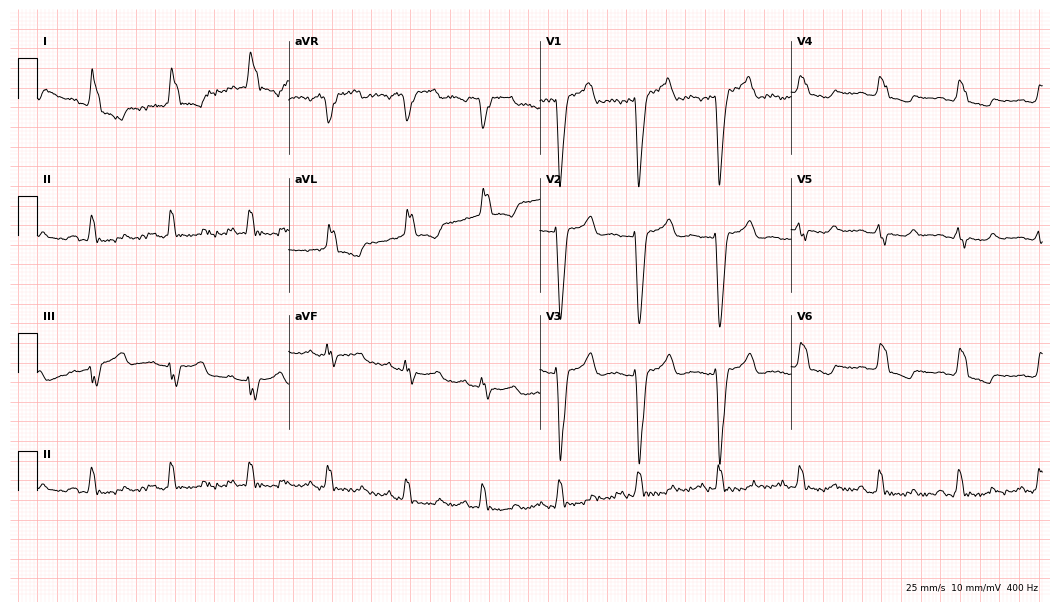
Resting 12-lead electrocardiogram. Patient: a 62-year-old female. The tracing shows left bundle branch block.